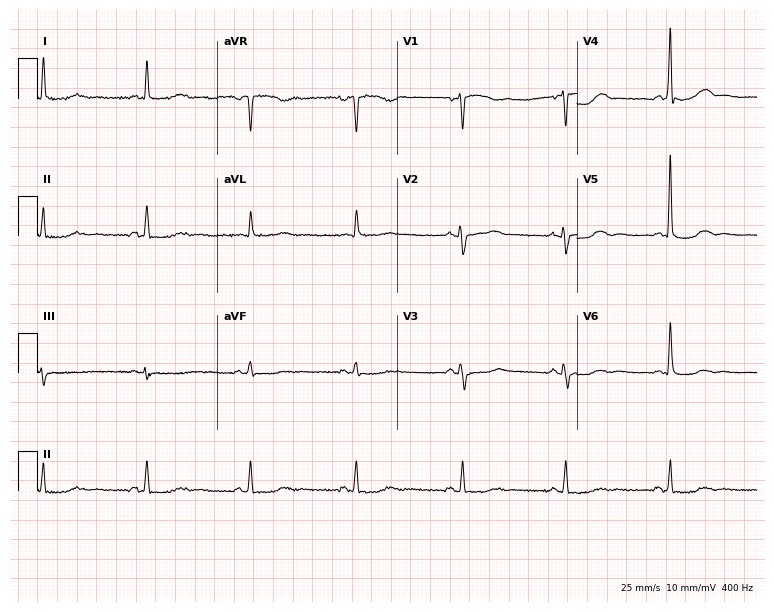
ECG — a 60-year-old female. Screened for six findings — first-degree AV block, right bundle branch block, left bundle branch block, sinus bradycardia, atrial fibrillation, sinus tachycardia — none is recorded. Only these six findings were labelled.